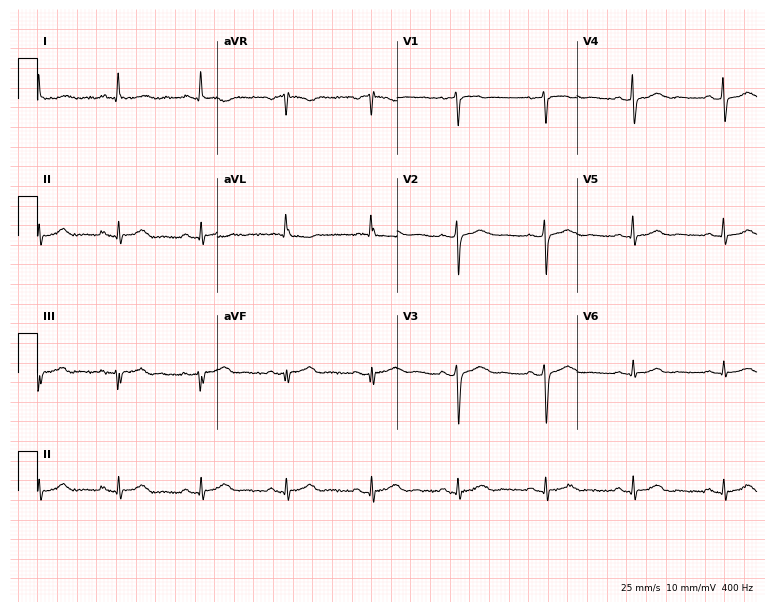
ECG (7.3-second recording at 400 Hz) — a female patient, 72 years old. Labelled as a normal ECG.